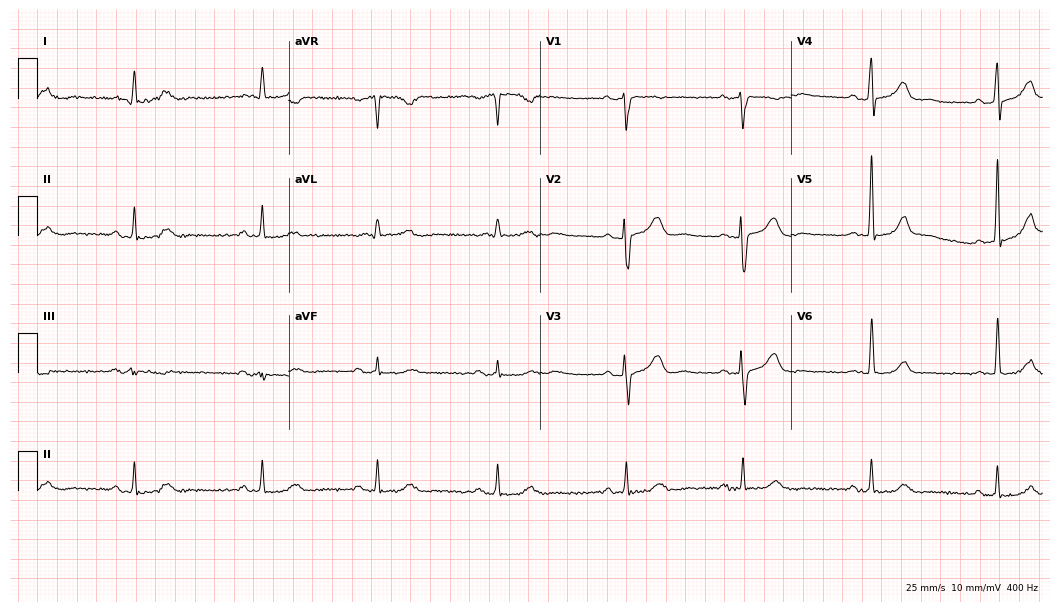
Electrocardiogram (10.2-second recording at 400 Hz), an 82-year-old male patient. Interpretation includes sinus bradycardia (a sinus rate of 50 beats per minute or less).